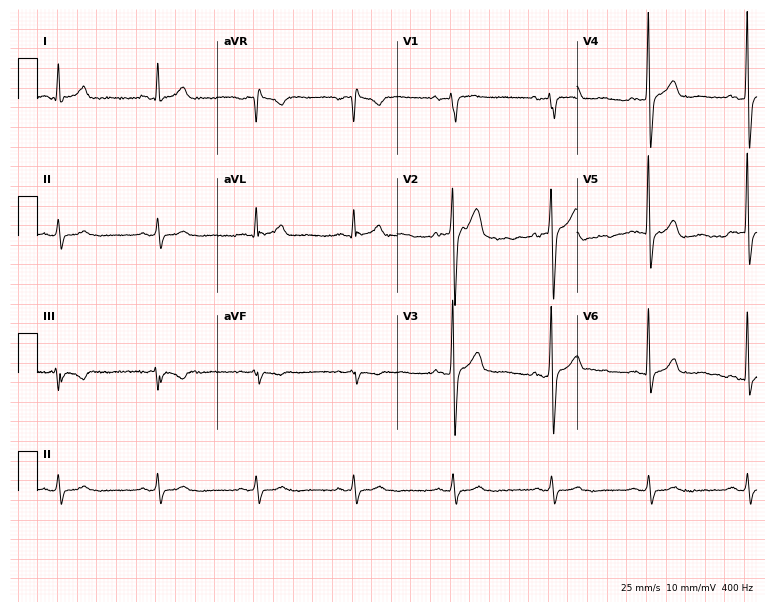
12-lead ECG from a 55-year-old male. Screened for six findings — first-degree AV block, right bundle branch block, left bundle branch block, sinus bradycardia, atrial fibrillation, sinus tachycardia — none is recorded. Other findings, if any, are not listed.